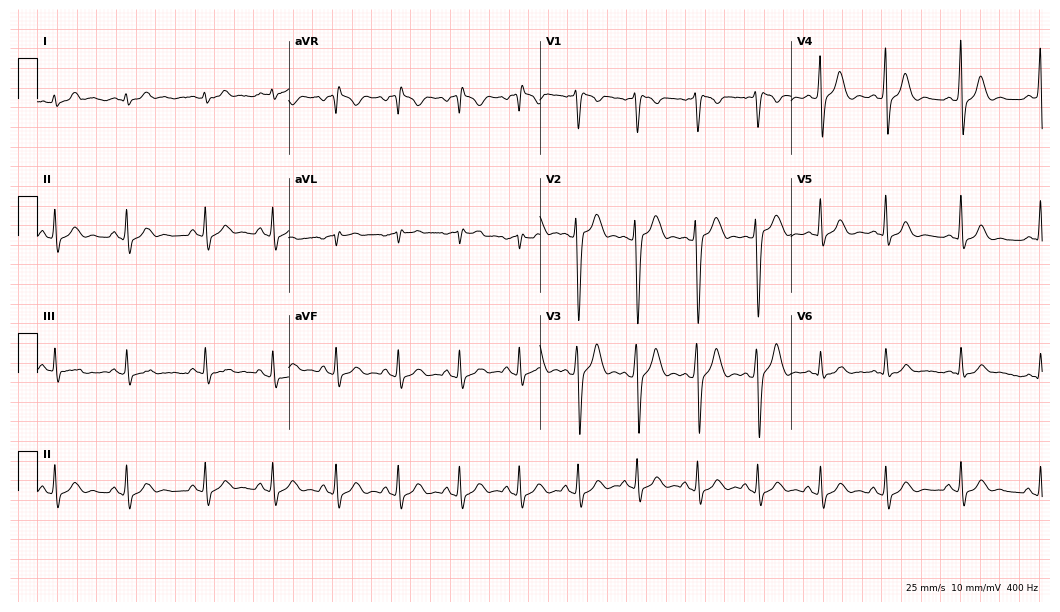
12-lead ECG (10.2-second recording at 400 Hz) from a 29-year-old male patient. Screened for six findings — first-degree AV block, right bundle branch block, left bundle branch block, sinus bradycardia, atrial fibrillation, sinus tachycardia — none is recorded.